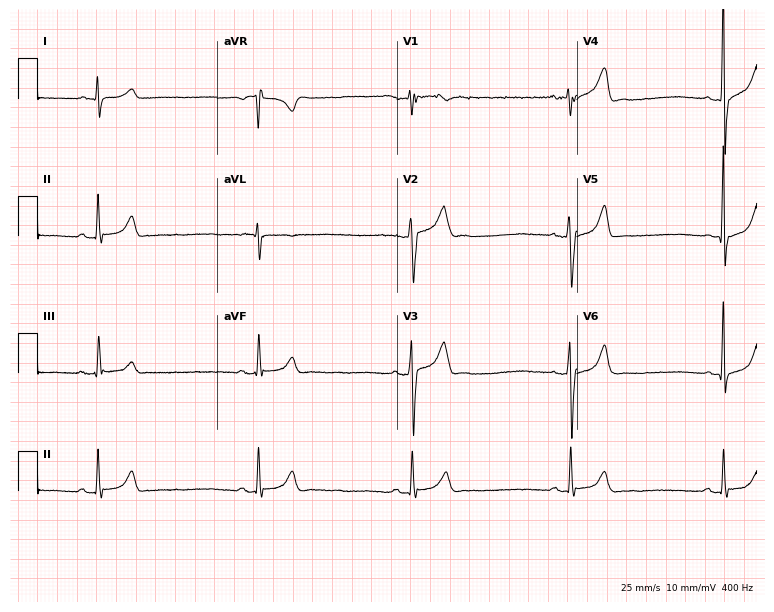
Electrocardiogram (7.3-second recording at 400 Hz), a 17-year-old male patient. Interpretation includes sinus bradycardia (a sinus rate of 50 beats per minute or less).